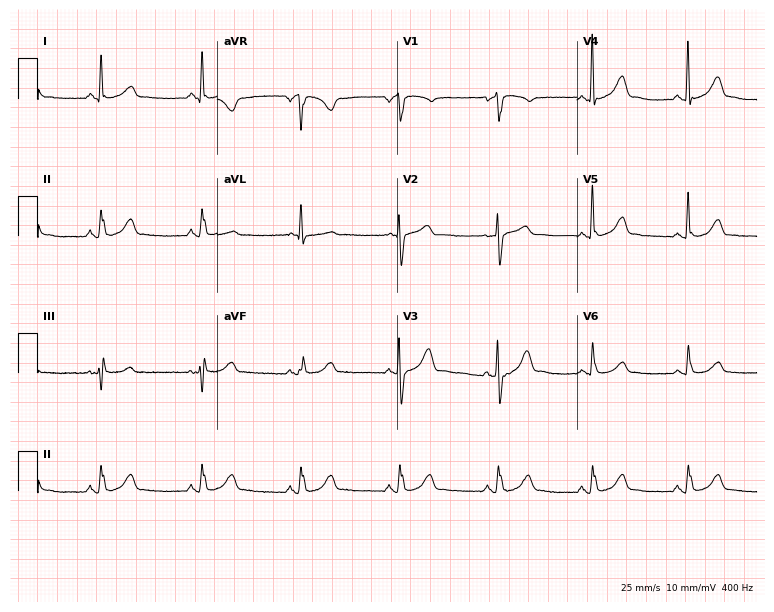
12-lead ECG (7.3-second recording at 400 Hz) from a female, 63 years old. Labelled as a normal ECG.